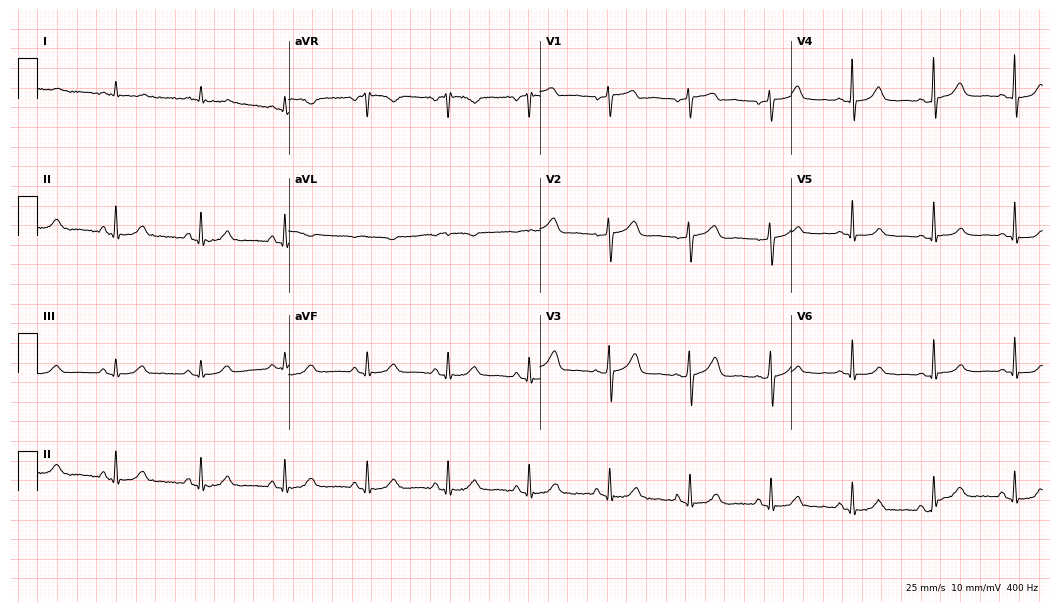
Standard 12-lead ECG recorded from a 62-year-old male patient. Read as a normal ECG.